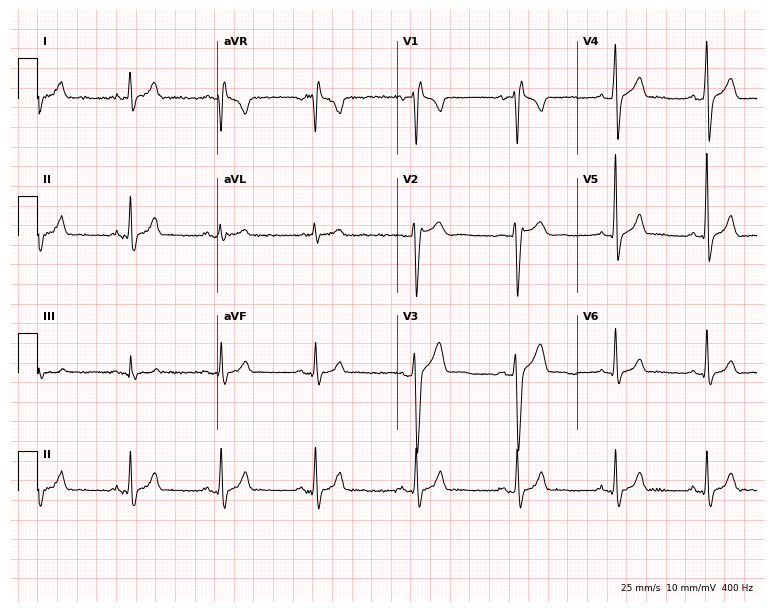
12-lead ECG from a 26-year-old male. Findings include right bundle branch block.